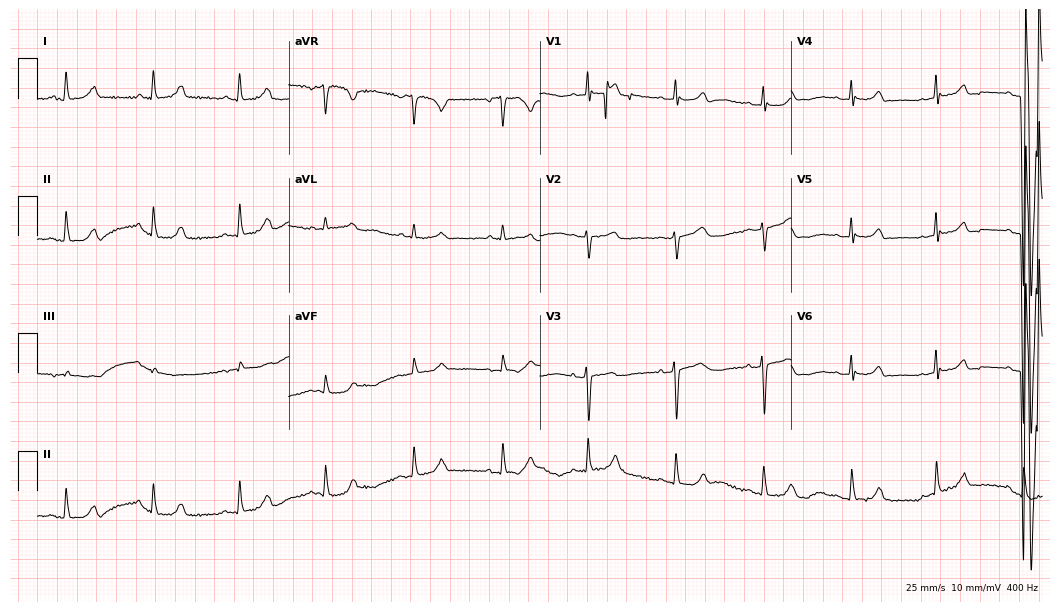
Resting 12-lead electrocardiogram. Patient: a female, 78 years old. Read as a normal ECG.